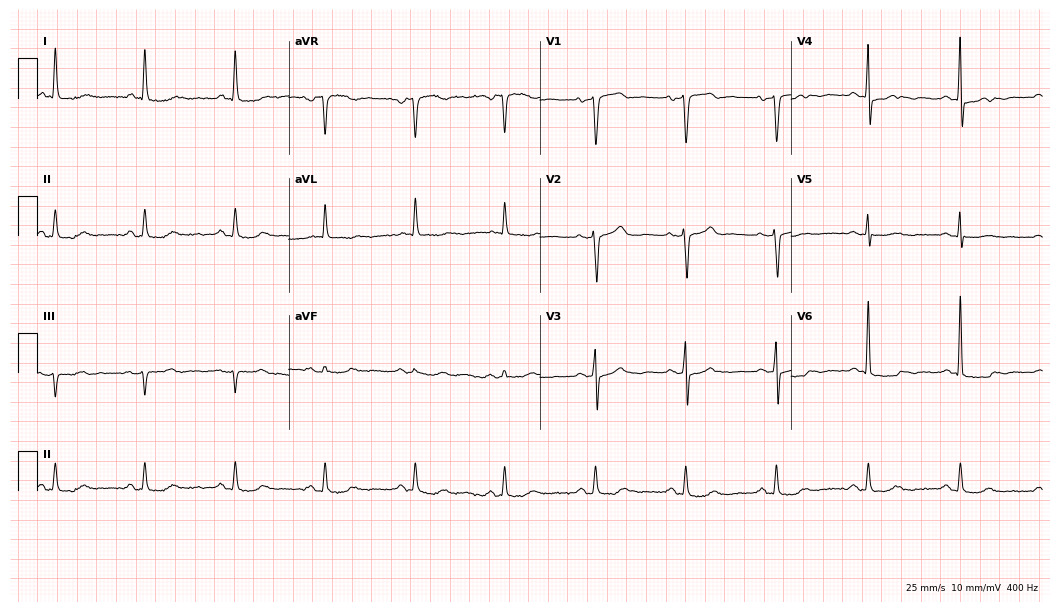
Standard 12-lead ECG recorded from a woman, 79 years old. None of these six findings is recorded: first-degree AV block, right bundle branch block, left bundle branch block, sinus bradycardia, atrial fibrillation, sinus tachycardia.